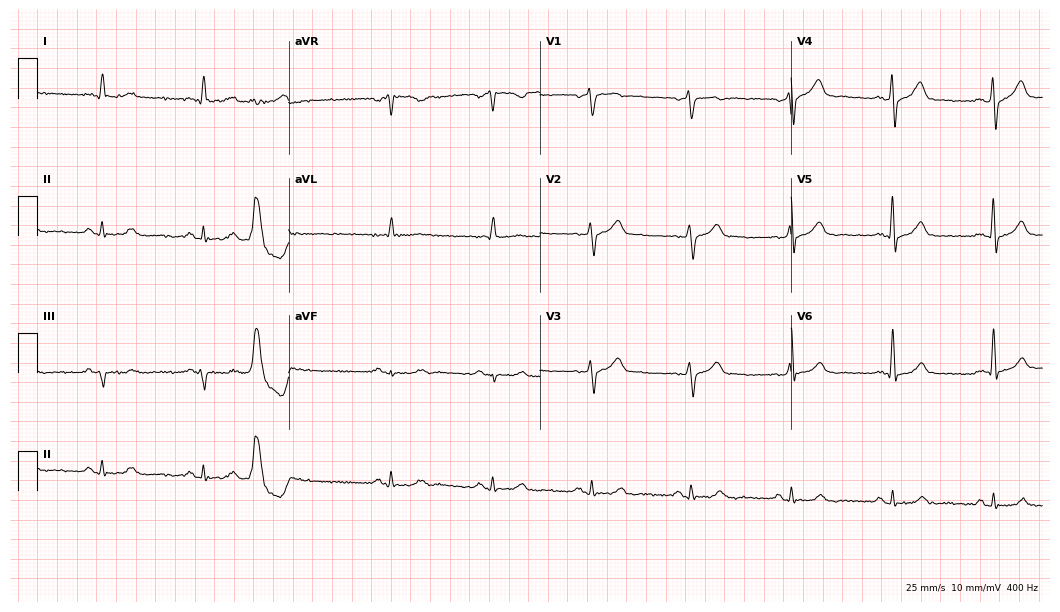
Resting 12-lead electrocardiogram. Patient: a 69-year-old man. Read as a normal ECG.